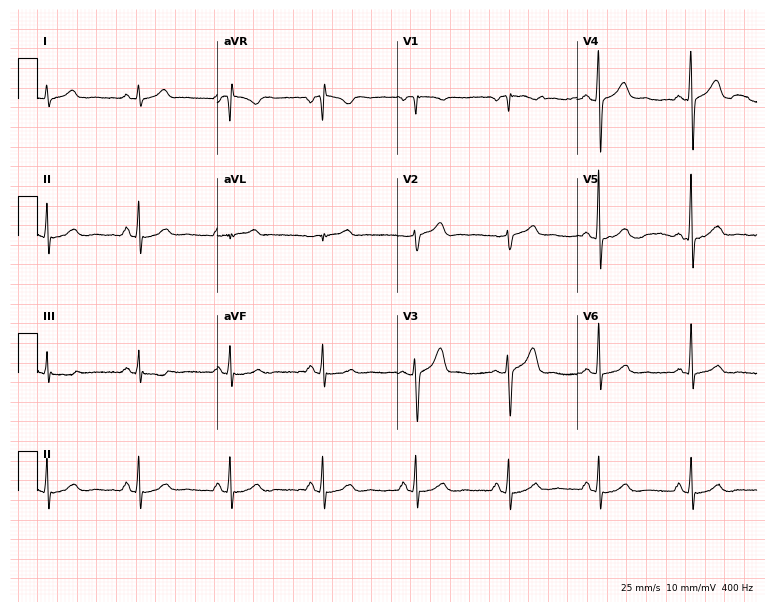
Resting 12-lead electrocardiogram. Patient: a man, 58 years old. Read as a normal ECG.